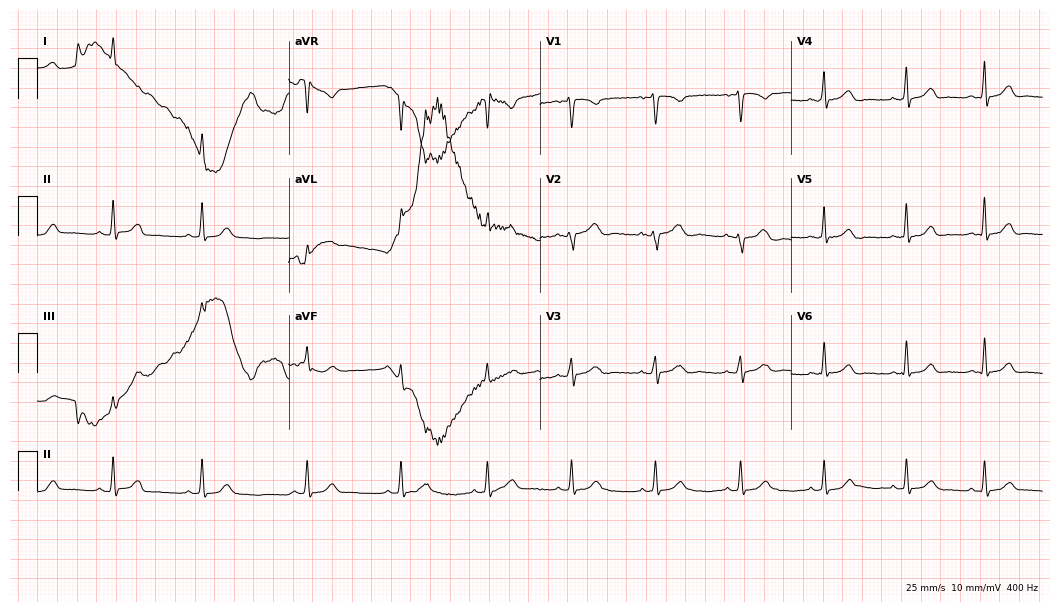
12-lead ECG from a woman, 27 years old (10.2-second recording at 400 Hz). Recorded interpretation: within normal limits.